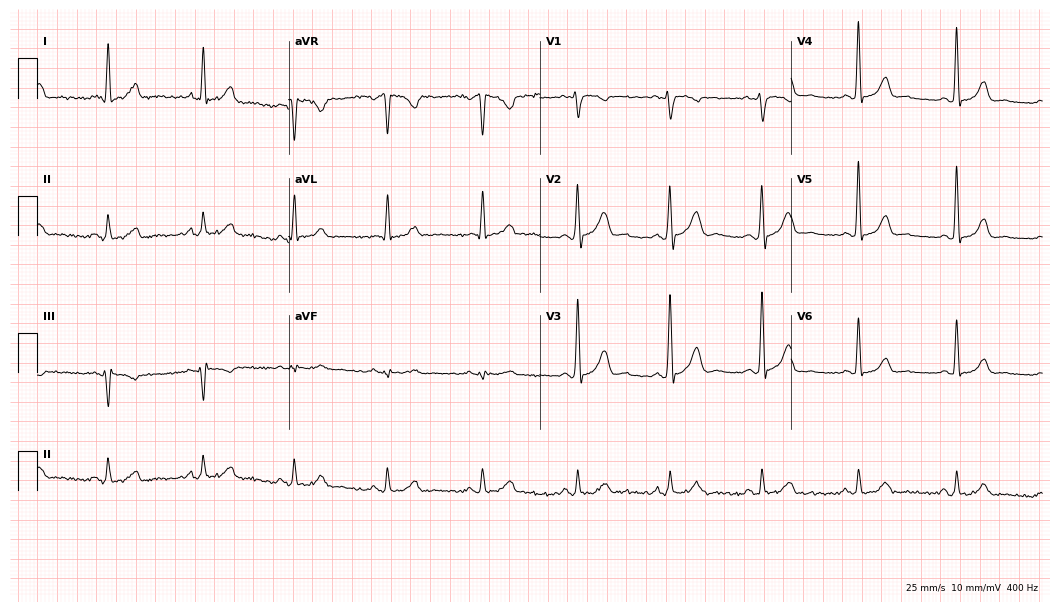
12-lead ECG from a 49-year-old male patient. Recorded interpretation: within normal limits.